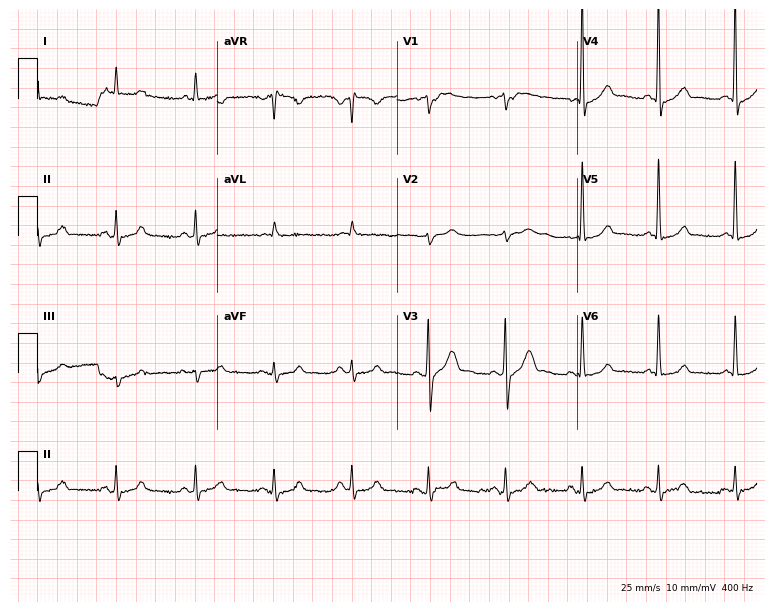
ECG — a male patient, 71 years old. Screened for six findings — first-degree AV block, right bundle branch block, left bundle branch block, sinus bradycardia, atrial fibrillation, sinus tachycardia — none is recorded.